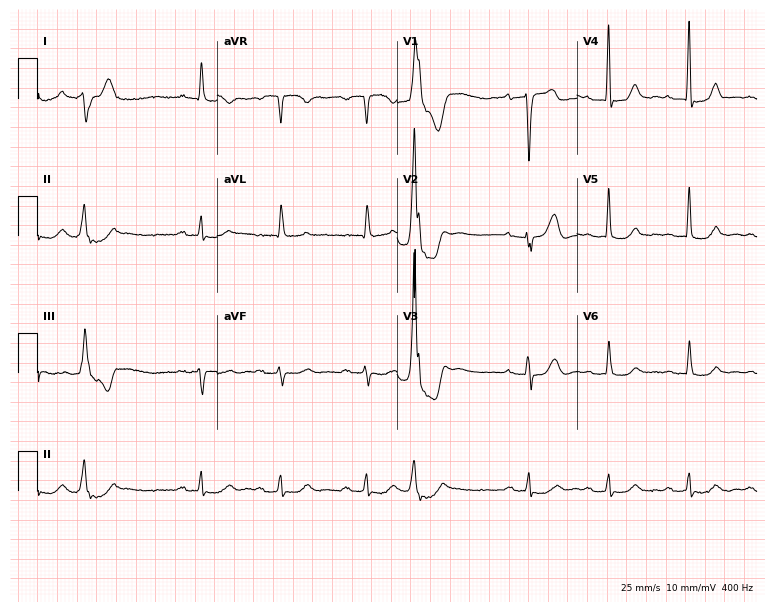
12-lead ECG from a man, 75 years old. No first-degree AV block, right bundle branch block (RBBB), left bundle branch block (LBBB), sinus bradycardia, atrial fibrillation (AF) or sinus tachycardia recorded for this tracing.